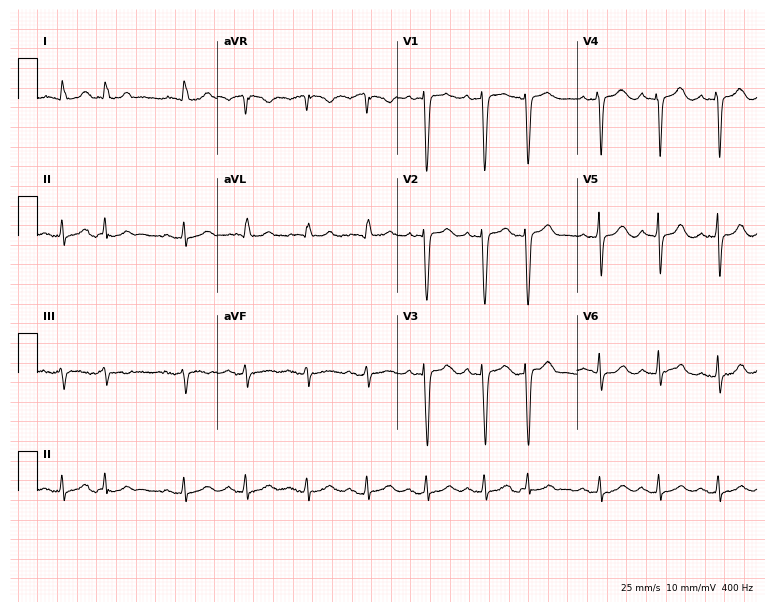
12-lead ECG from a female patient, 82 years old. No first-degree AV block, right bundle branch block (RBBB), left bundle branch block (LBBB), sinus bradycardia, atrial fibrillation (AF) or sinus tachycardia recorded for this tracing. Other findings, if any, are not listed.